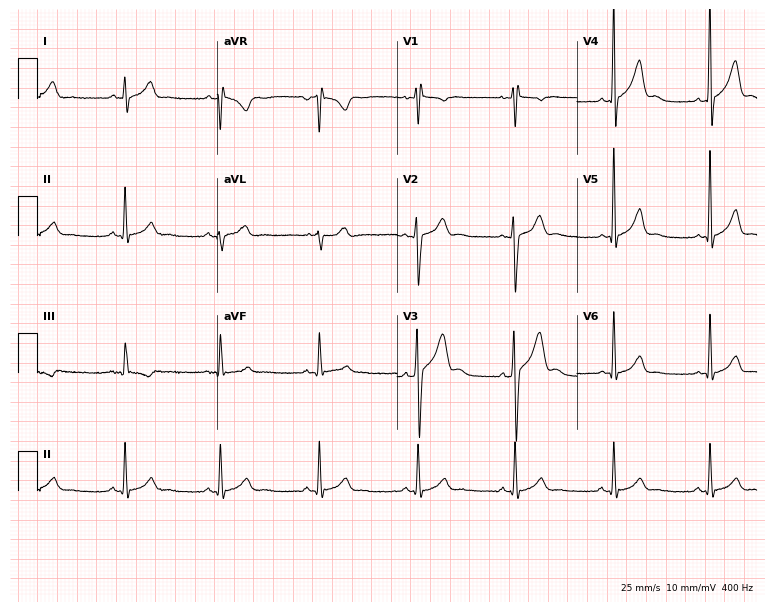
ECG — a male patient, 25 years old. Labelled as a normal ECG.